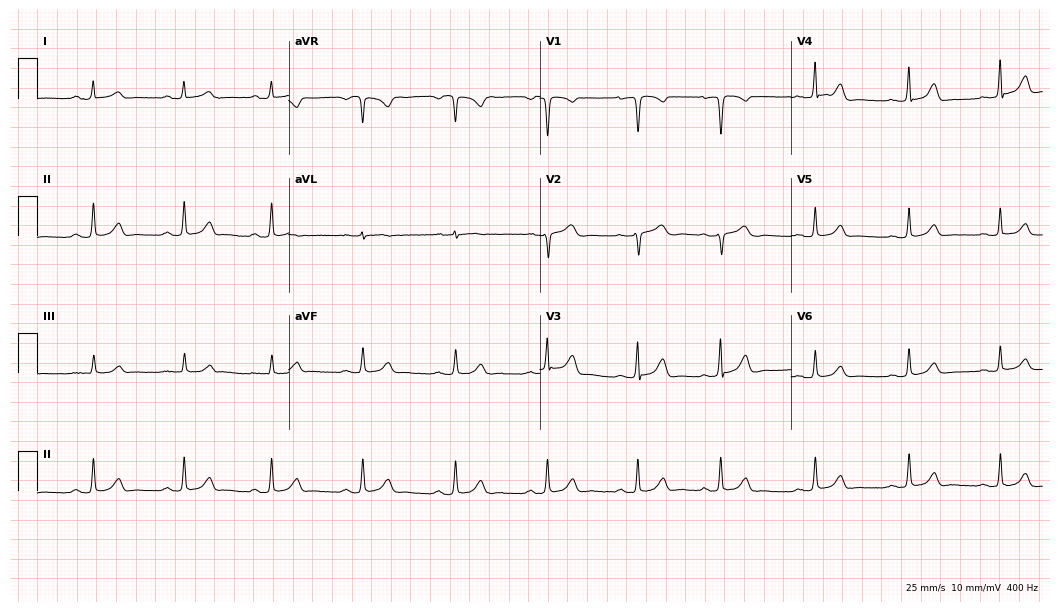
Electrocardiogram, a 28-year-old female. Of the six screened findings (first-degree AV block, right bundle branch block (RBBB), left bundle branch block (LBBB), sinus bradycardia, atrial fibrillation (AF), sinus tachycardia), none is recorded.